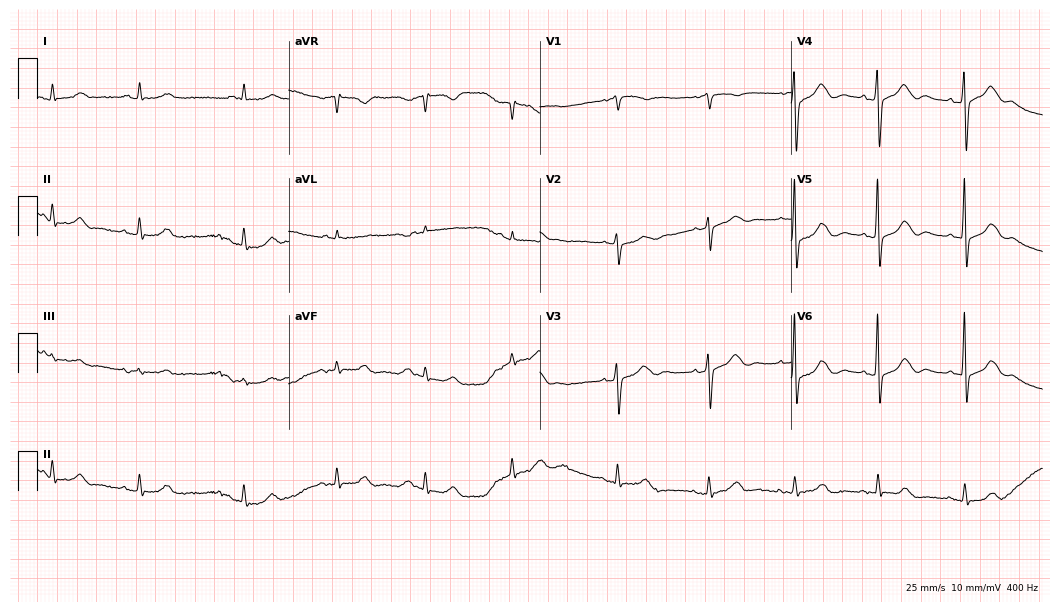
12-lead ECG from a female patient, 83 years old. Labelled as a normal ECG.